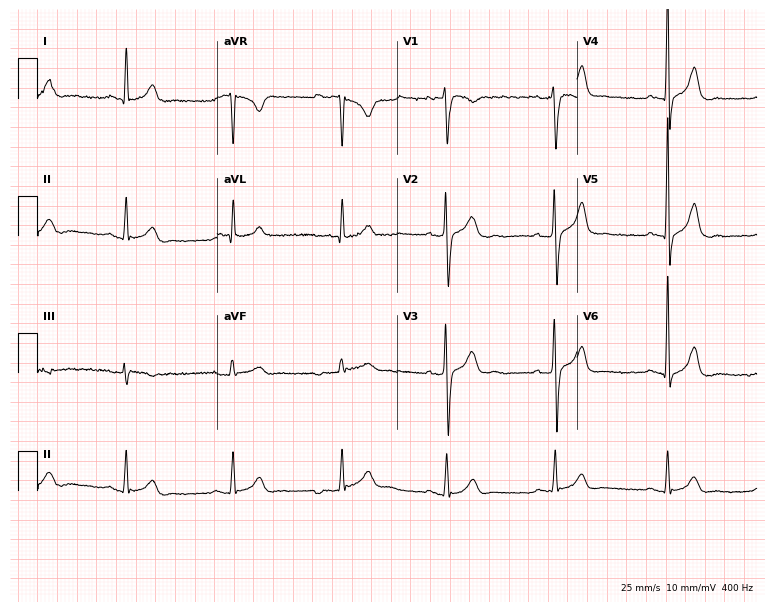
12-lead ECG from a male patient, 44 years old (7.3-second recording at 400 Hz). Recorded interpretation: within normal limits.